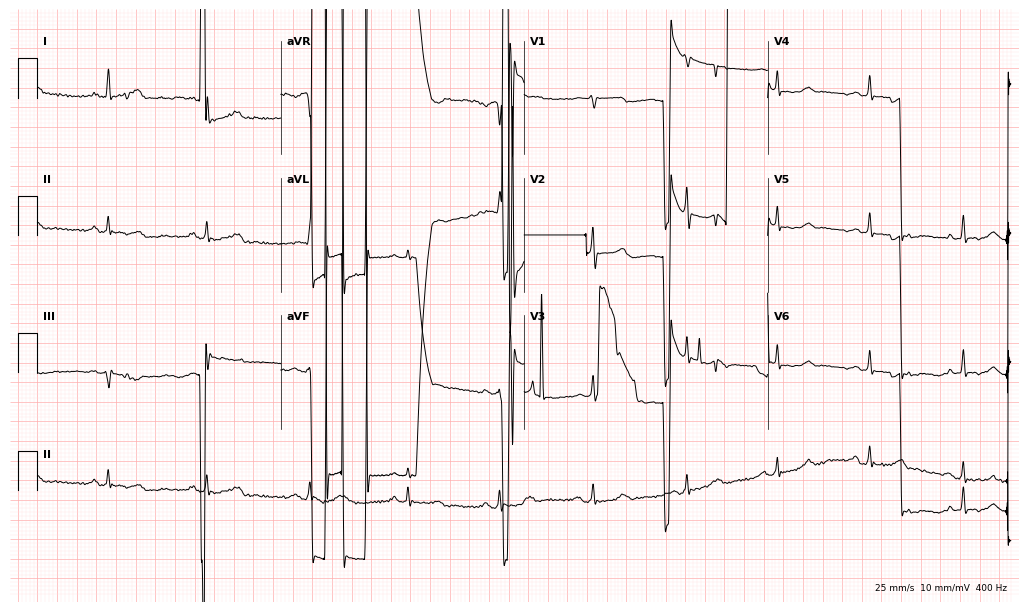
ECG (9.9-second recording at 400 Hz) — a female, 34 years old. Screened for six findings — first-degree AV block, right bundle branch block (RBBB), left bundle branch block (LBBB), sinus bradycardia, atrial fibrillation (AF), sinus tachycardia — none is recorded.